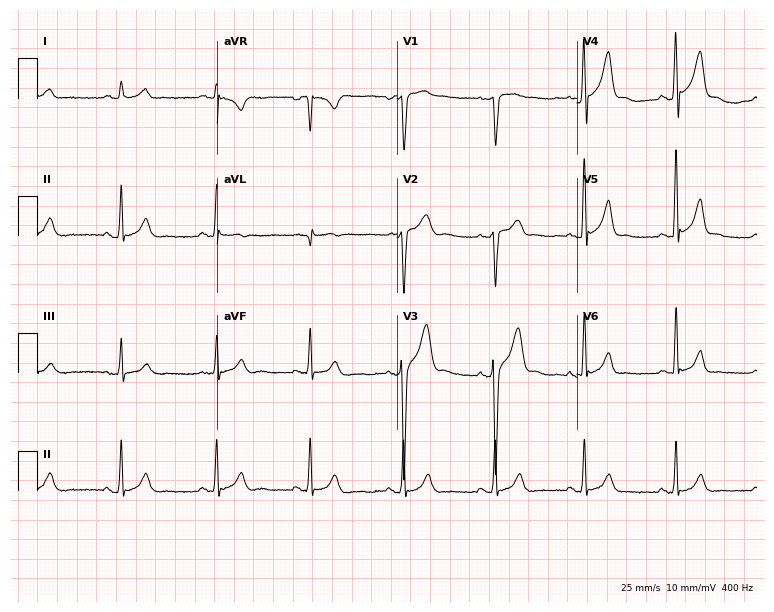
12-lead ECG from a 31-year-old man (7.3-second recording at 400 Hz). Recorded interpretation: within normal limits.